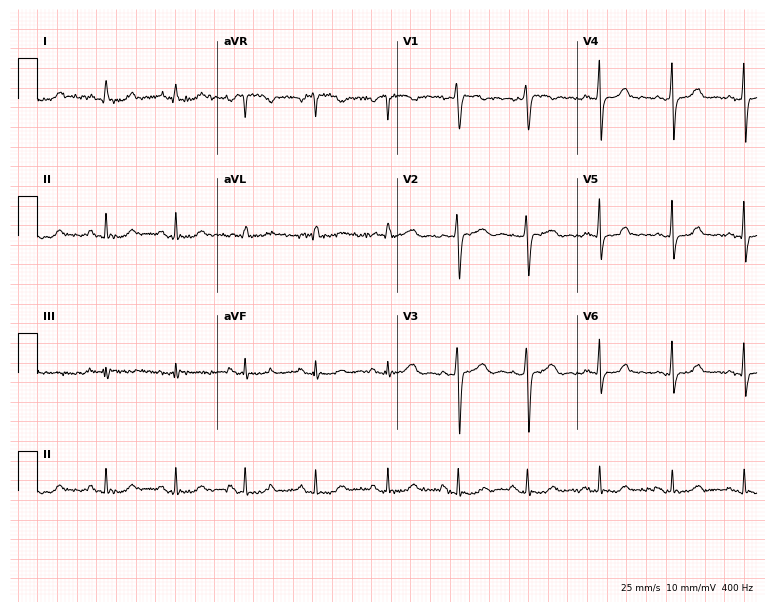
Resting 12-lead electrocardiogram. Patient: a 41-year-old woman. Read as a normal ECG.